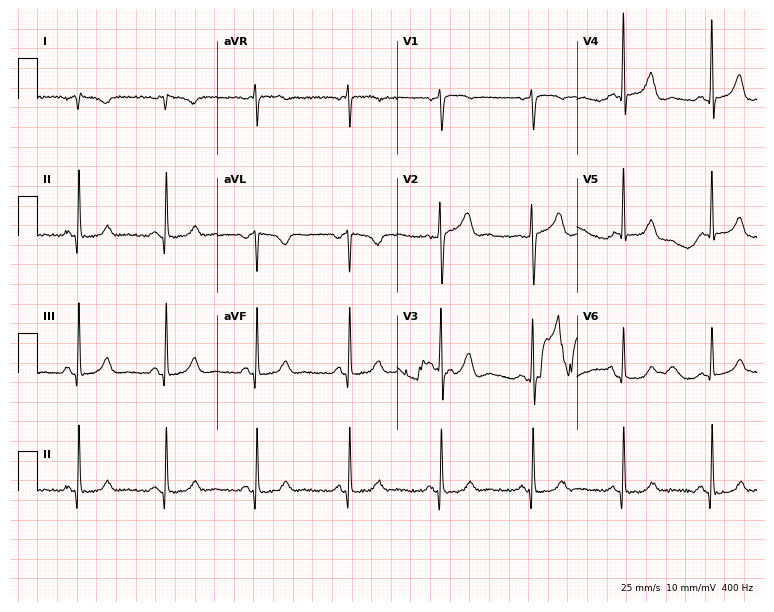
ECG (7.3-second recording at 400 Hz) — a 67-year-old female. Screened for six findings — first-degree AV block, right bundle branch block, left bundle branch block, sinus bradycardia, atrial fibrillation, sinus tachycardia — none is recorded. Findings outside these six are not listed.